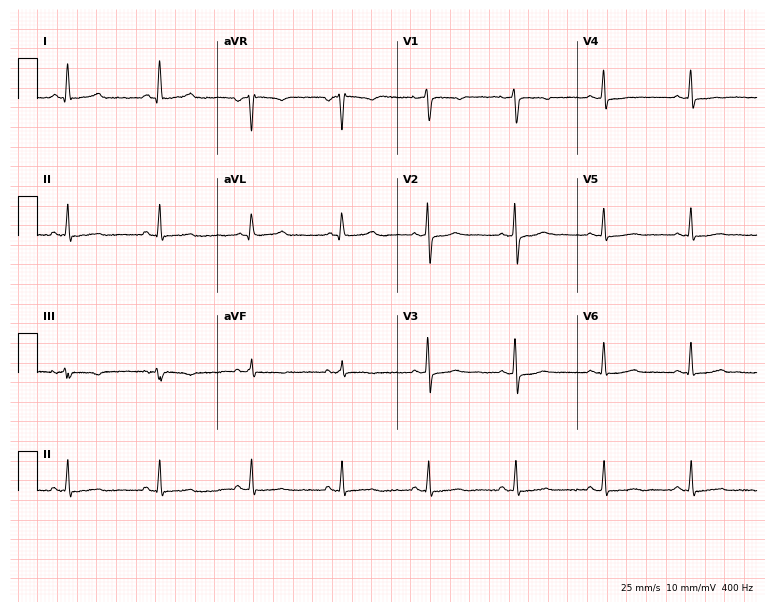
Electrocardiogram (7.3-second recording at 400 Hz), a female patient, 51 years old. Of the six screened findings (first-degree AV block, right bundle branch block, left bundle branch block, sinus bradycardia, atrial fibrillation, sinus tachycardia), none is recorded.